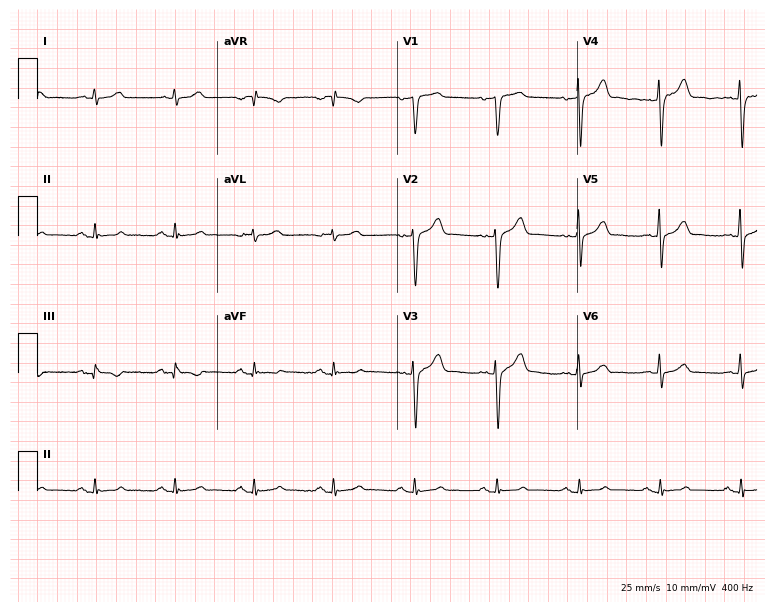
12-lead ECG from a man, 52 years old. Labelled as a normal ECG.